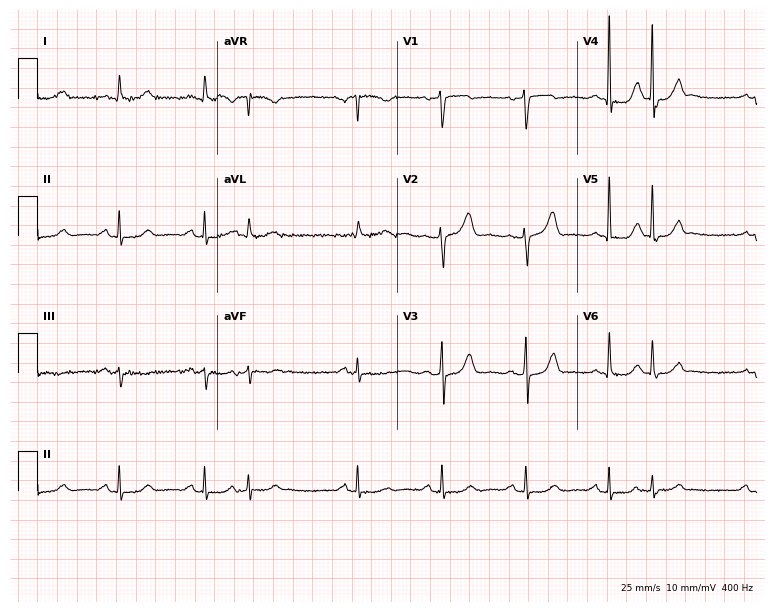
12-lead ECG (7.3-second recording at 400 Hz) from a 66-year-old male patient. Screened for six findings — first-degree AV block, right bundle branch block (RBBB), left bundle branch block (LBBB), sinus bradycardia, atrial fibrillation (AF), sinus tachycardia — none is recorded. Other findings, if any, are not listed.